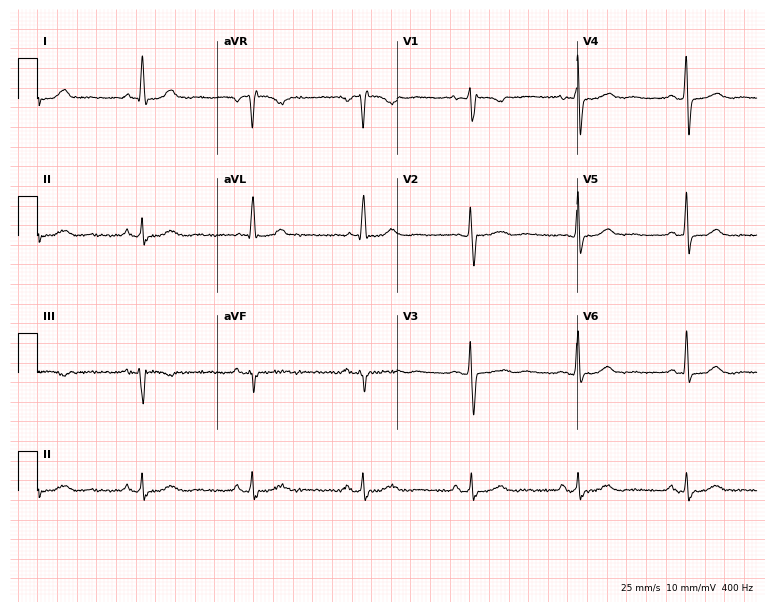
Electrocardiogram (7.3-second recording at 400 Hz), a 61-year-old female patient. Of the six screened findings (first-degree AV block, right bundle branch block, left bundle branch block, sinus bradycardia, atrial fibrillation, sinus tachycardia), none is recorded.